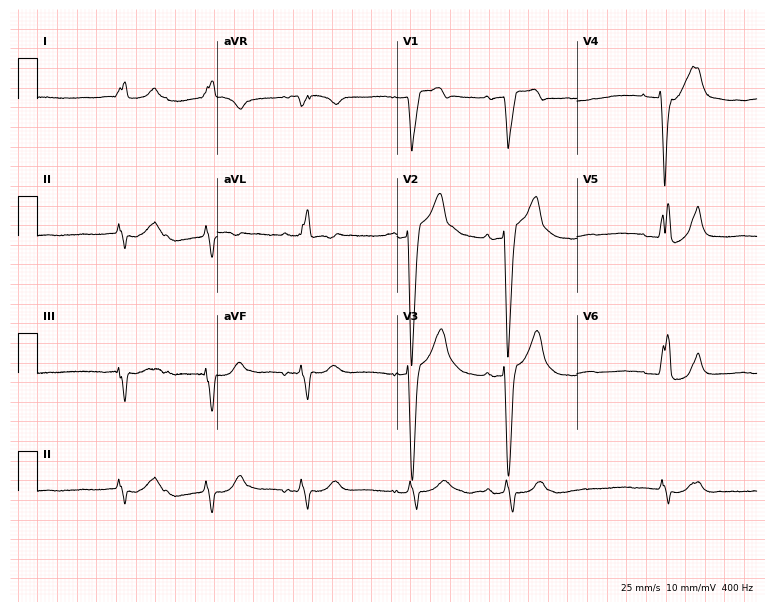
Resting 12-lead electrocardiogram. Patient: an 85-year-old female. The tracing shows left bundle branch block (LBBB), atrial fibrillation (AF).